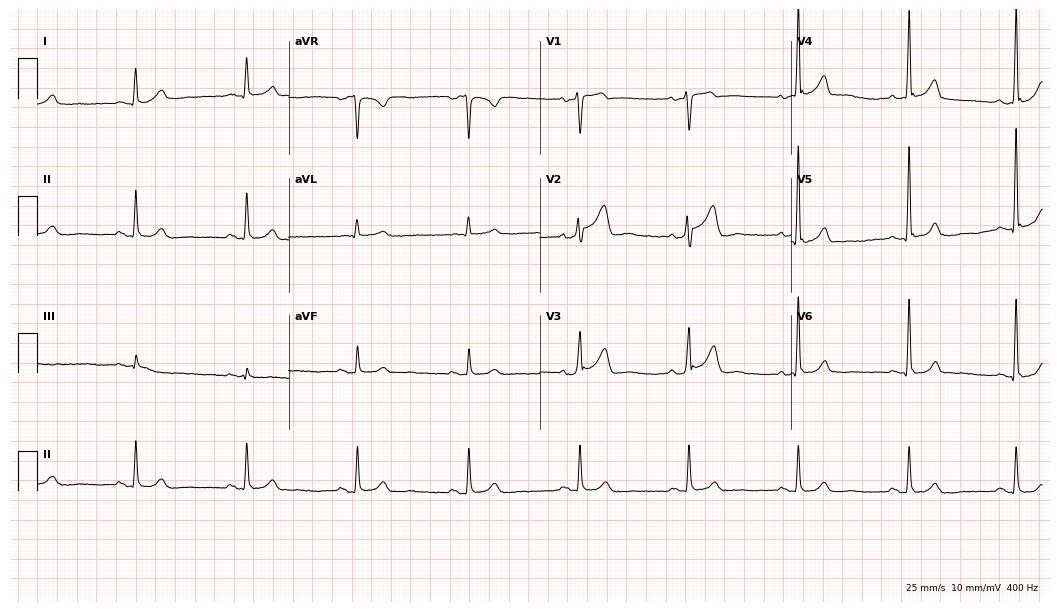
ECG (10.2-second recording at 400 Hz) — a man, 54 years old. Labelled as a normal ECG.